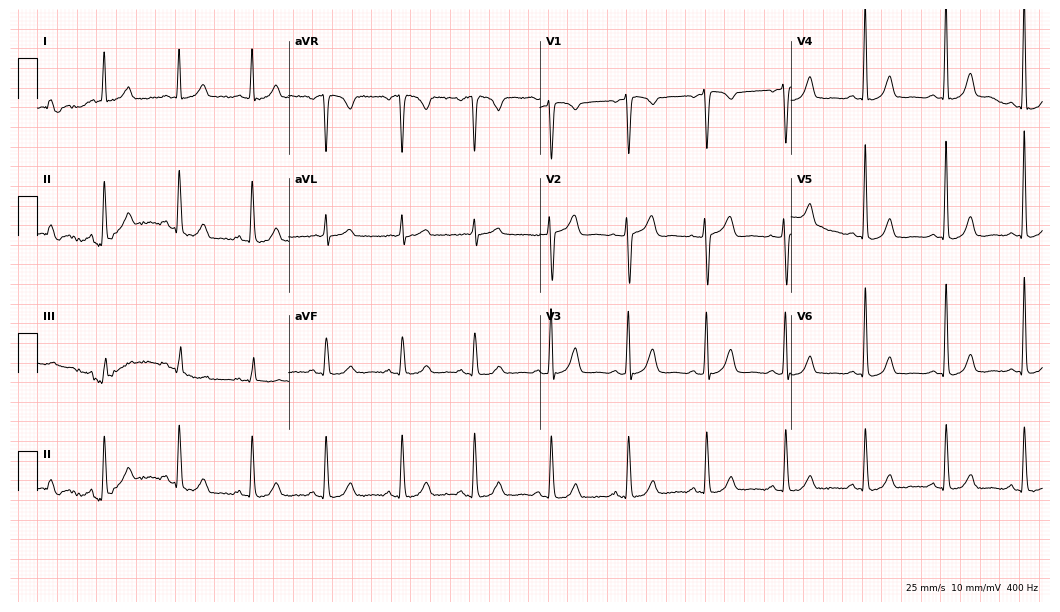
Standard 12-lead ECG recorded from a 68-year-old woman. None of these six findings is recorded: first-degree AV block, right bundle branch block, left bundle branch block, sinus bradycardia, atrial fibrillation, sinus tachycardia. Other findings, if any, are not listed.